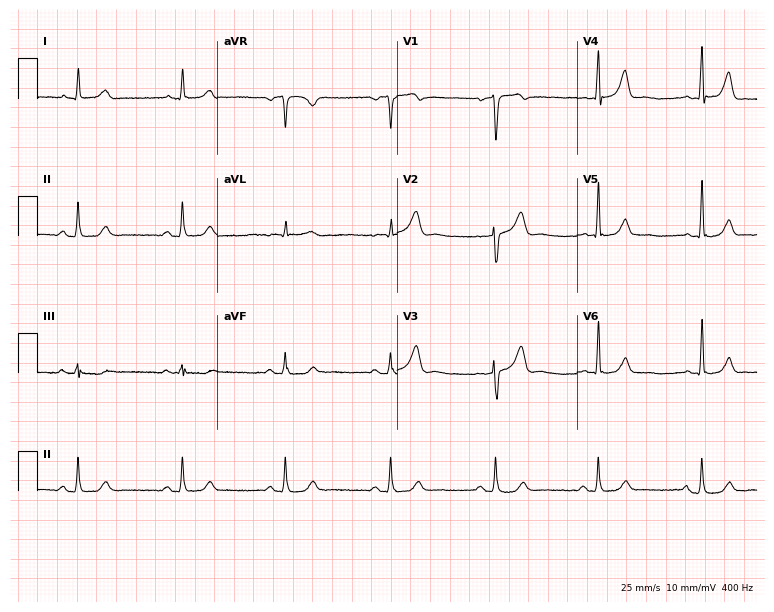
Standard 12-lead ECG recorded from a 54-year-old male (7.3-second recording at 400 Hz). None of these six findings is recorded: first-degree AV block, right bundle branch block (RBBB), left bundle branch block (LBBB), sinus bradycardia, atrial fibrillation (AF), sinus tachycardia. Only these six findings were labelled.